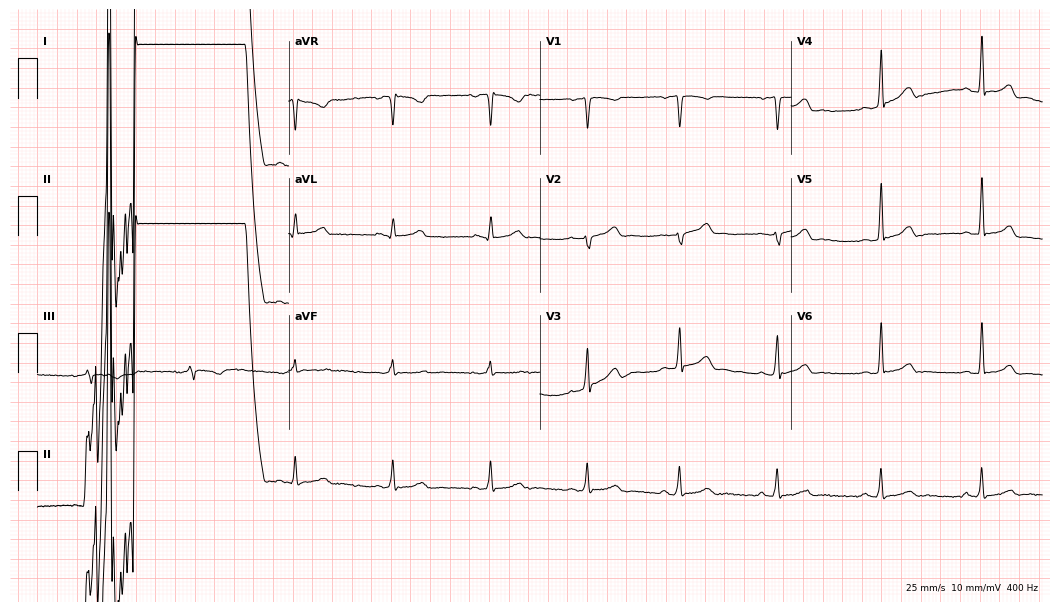
Resting 12-lead electrocardiogram (10.2-second recording at 400 Hz). Patient: a 33-year-old man. Read as a normal ECG.